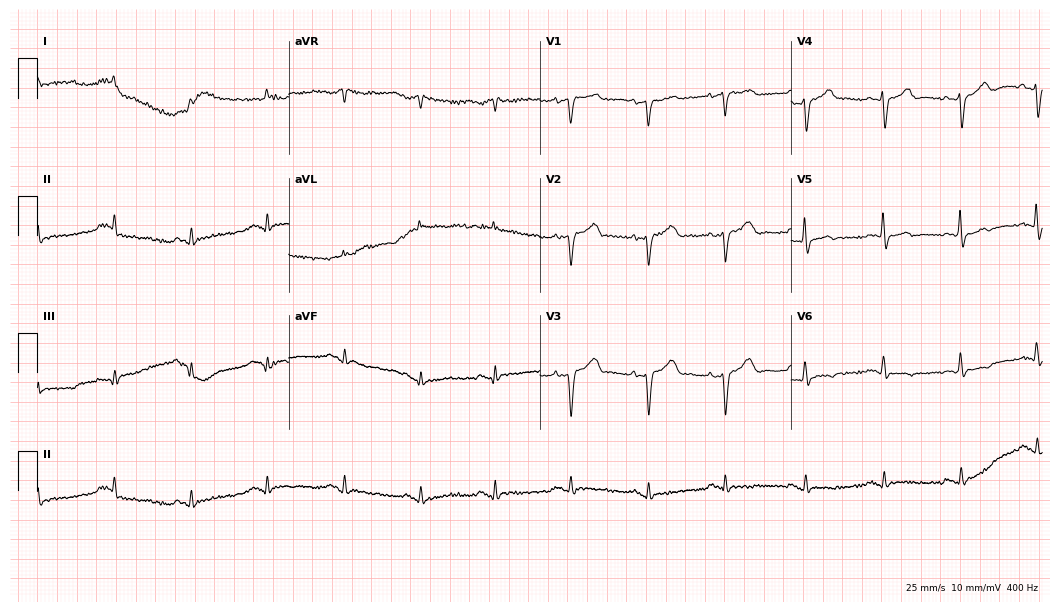
12-lead ECG from a woman, 80 years old. Screened for six findings — first-degree AV block, right bundle branch block, left bundle branch block, sinus bradycardia, atrial fibrillation, sinus tachycardia — none is recorded.